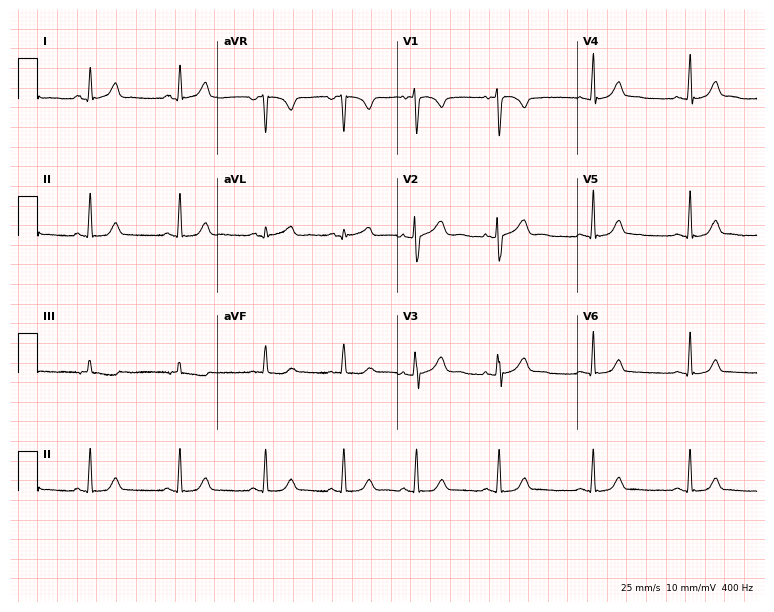
12-lead ECG from an 18-year-old woman. Labelled as a normal ECG.